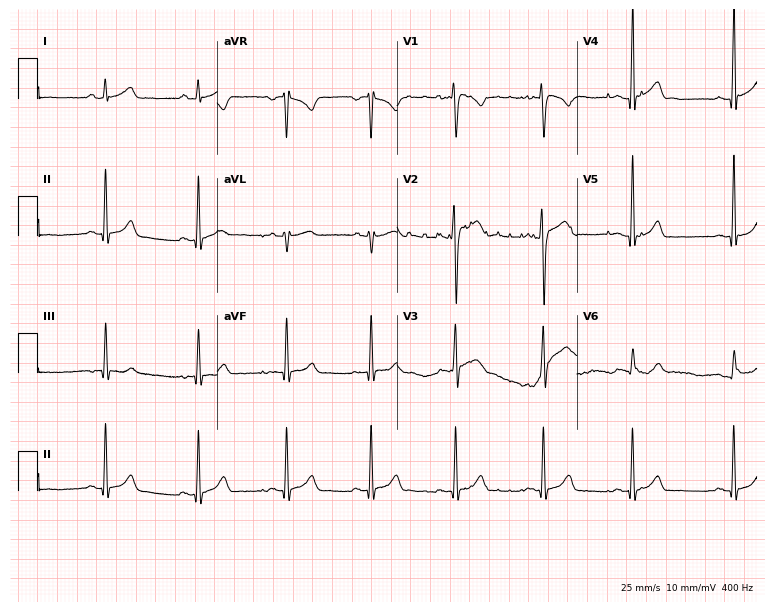
12-lead ECG from a male, 17 years old. Recorded interpretation: within normal limits.